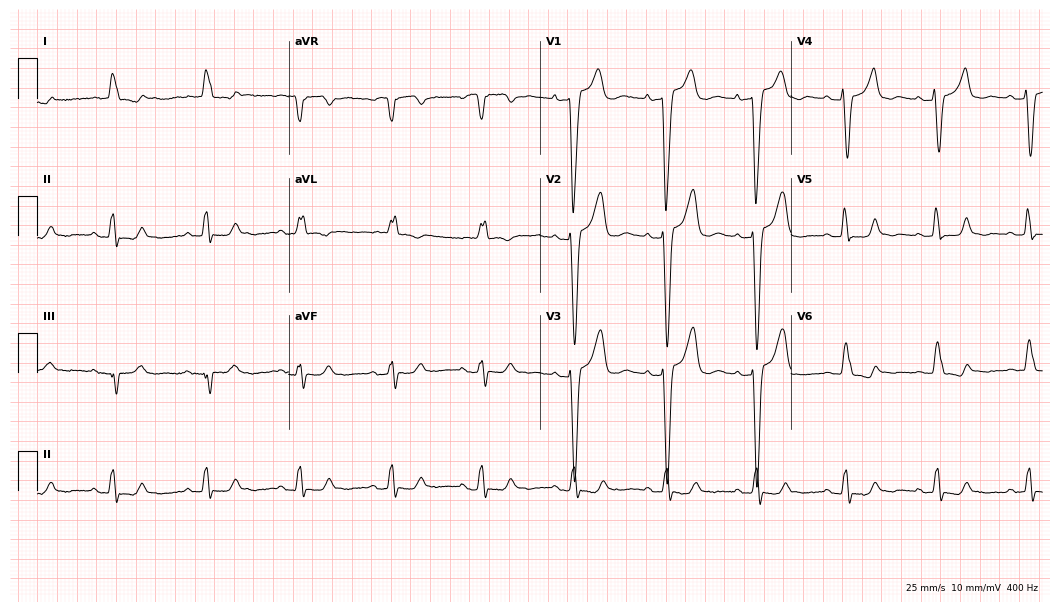
ECG — a female patient, 83 years old. Findings include left bundle branch block (LBBB).